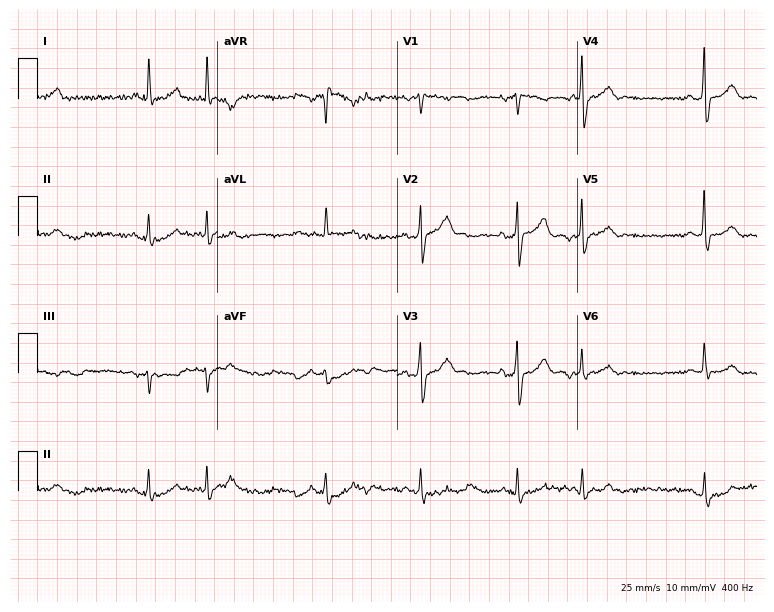
12-lead ECG (7.3-second recording at 400 Hz) from a 64-year-old male. Screened for six findings — first-degree AV block, right bundle branch block, left bundle branch block, sinus bradycardia, atrial fibrillation, sinus tachycardia — none is recorded.